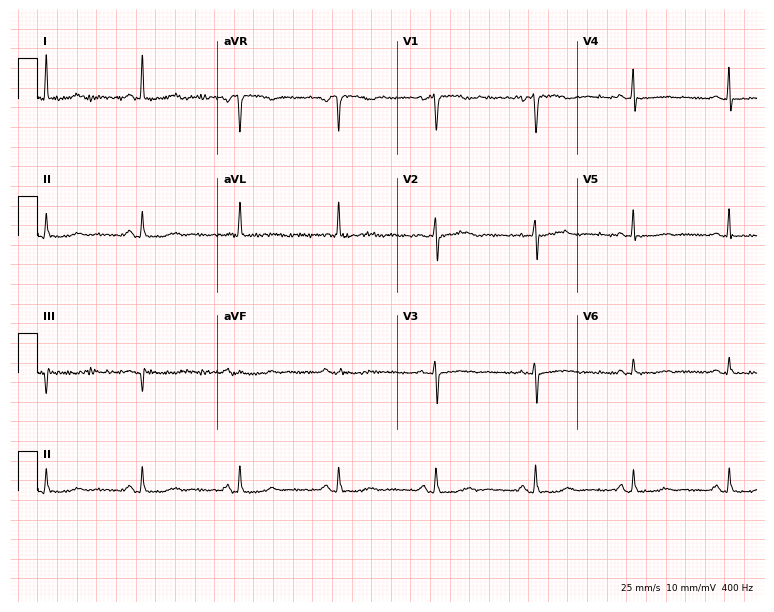
Resting 12-lead electrocardiogram (7.3-second recording at 400 Hz). Patient: a 57-year-old woman. None of these six findings is recorded: first-degree AV block, right bundle branch block, left bundle branch block, sinus bradycardia, atrial fibrillation, sinus tachycardia. Other findings, if any, are not listed.